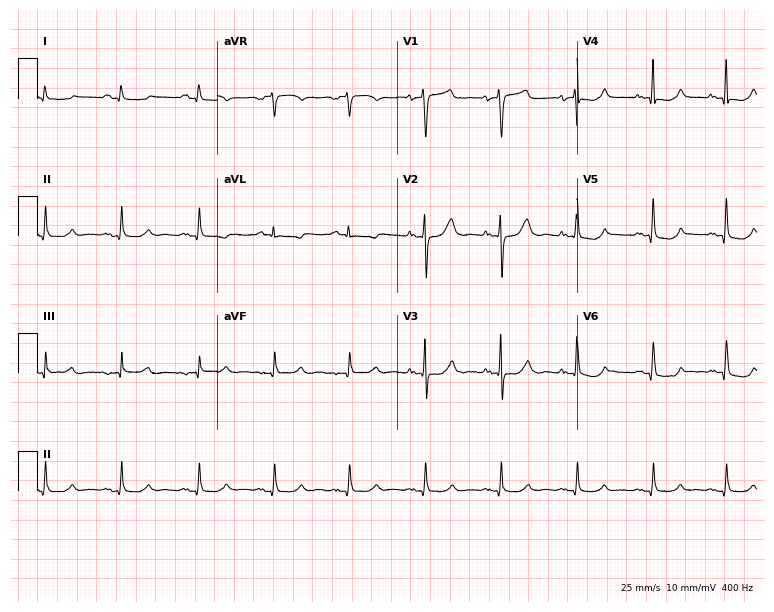
Electrocardiogram, a female, 46 years old. Of the six screened findings (first-degree AV block, right bundle branch block, left bundle branch block, sinus bradycardia, atrial fibrillation, sinus tachycardia), none is recorded. Findings outside these six are not listed.